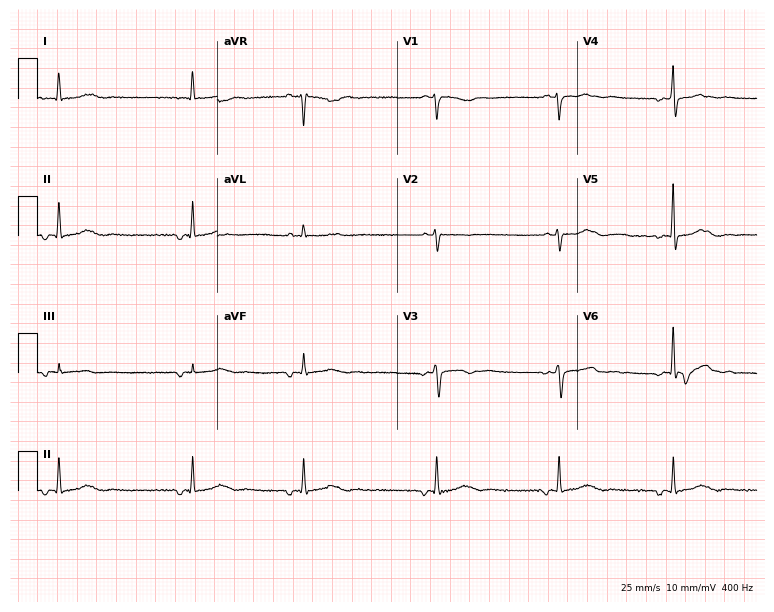
Resting 12-lead electrocardiogram. Patient: a woman, 75 years old. None of these six findings is recorded: first-degree AV block, right bundle branch block, left bundle branch block, sinus bradycardia, atrial fibrillation, sinus tachycardia. Only these six findings were labelled.